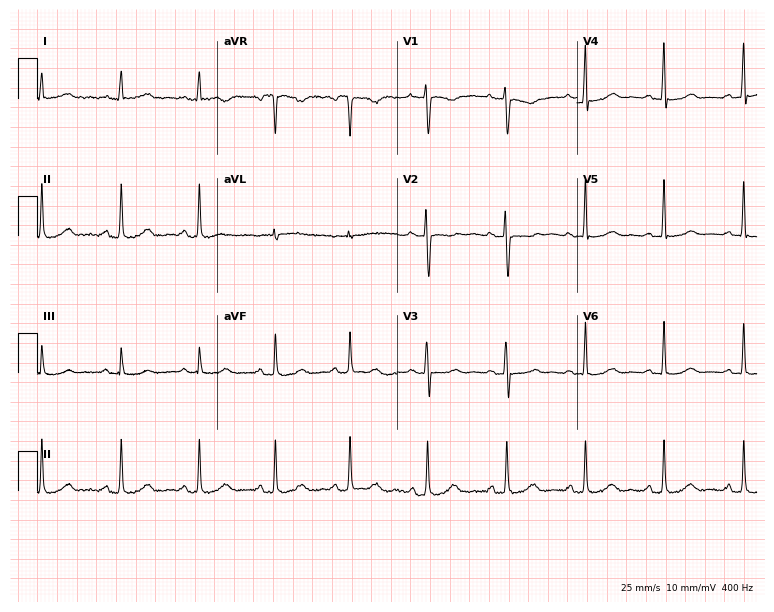
12-lead ECG from a 38-year-old female. No first-degree AV block, right bundle branch block, left bundle branch block, sinus bradycardia, atrial fibrillation or sinus tachycardia recorded for this tracing.